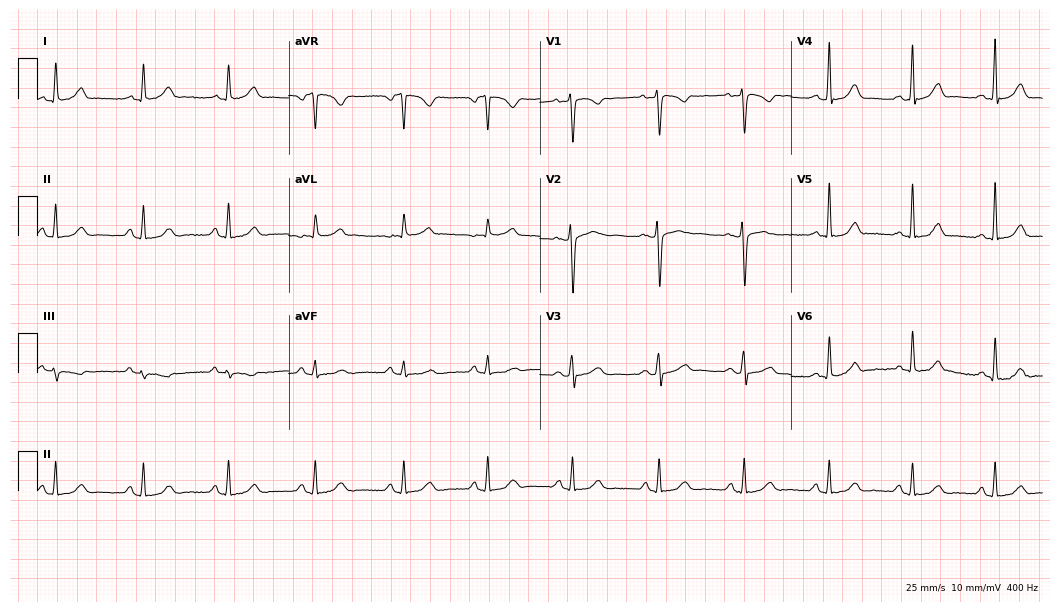
12-lead ECG from a female, 44 years old. No first-degree AV block, right bundle branch block, left bundle branch block, sinus bradycardia, atrial fibrillation or sinus tachycardia recorded for this tracing.